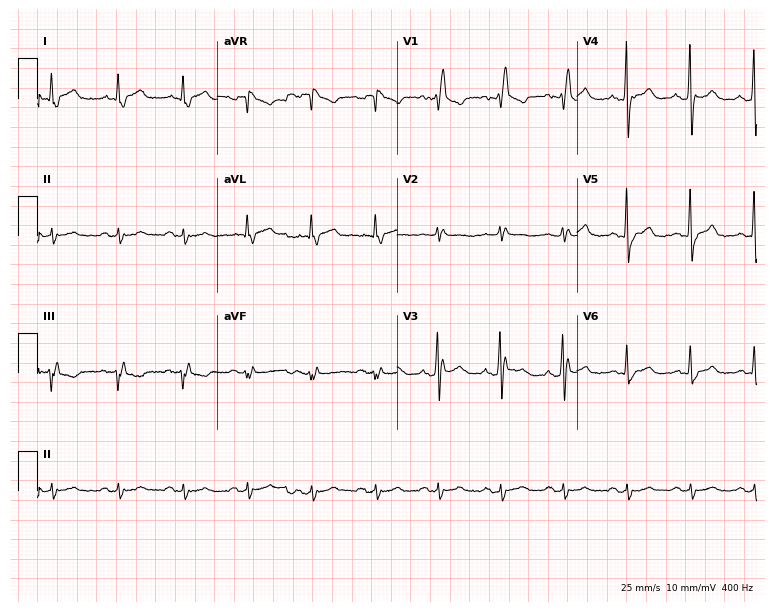
Standard 12-lead ECG recorded from a male patient, 63 years old (7.3-second recording at 400 Hz). The tracing shows right bundle branch block.